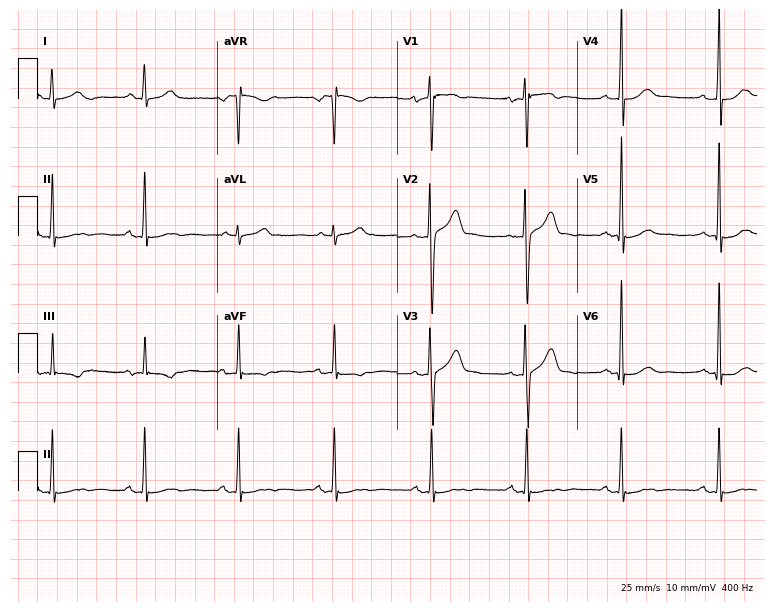
Electrocardiogram, a male, 37 years old. Of the six screened findings (first-degree AV block, right bundle branch block, left bundle branch block, sinus bradycardia, atrial fibrillation, sinus tachycardia), none is recorded.